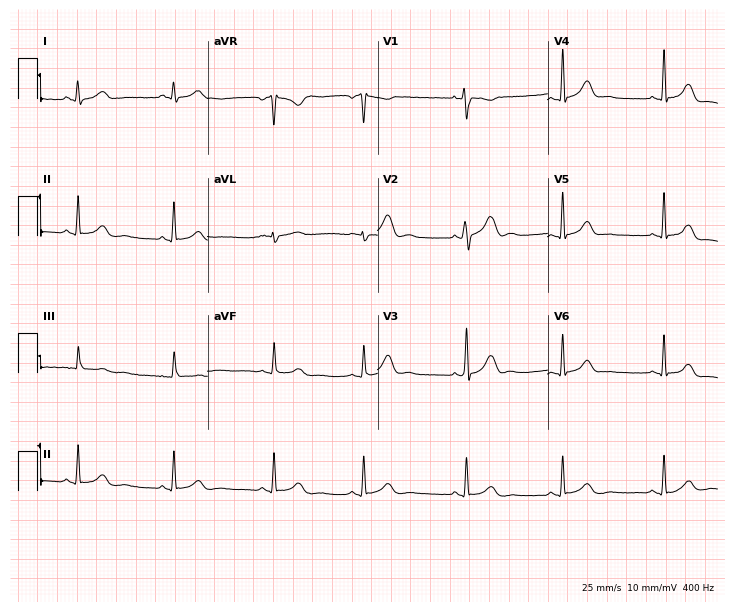
Standard 12-lead ECG recorded from a female patient, 24 years old (6.9-second recording at 400 Hz). Read as a normal ECG.